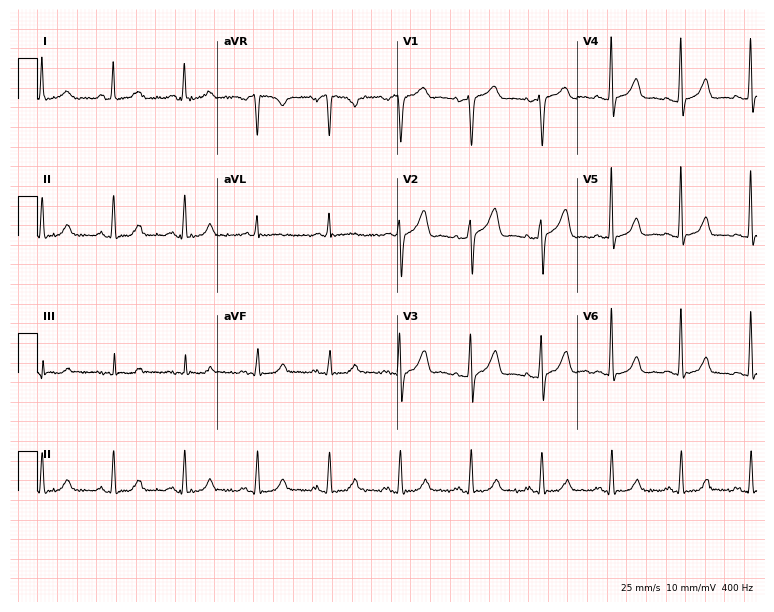
ECG — a 50-year-old woman. Labelled as a normal ECG.